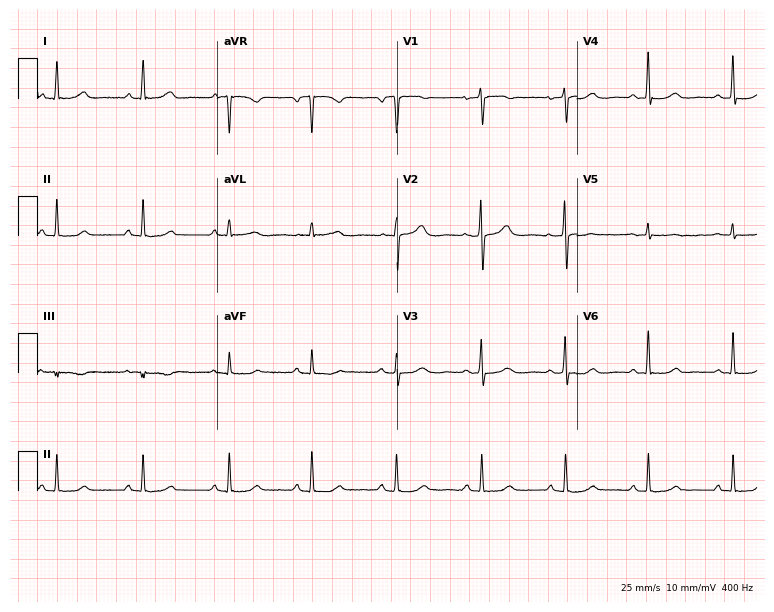
12-lead ECG from a 59-year-old female (7.3-second recording at 400 Hz). Recorded interpretation: within normal limits.